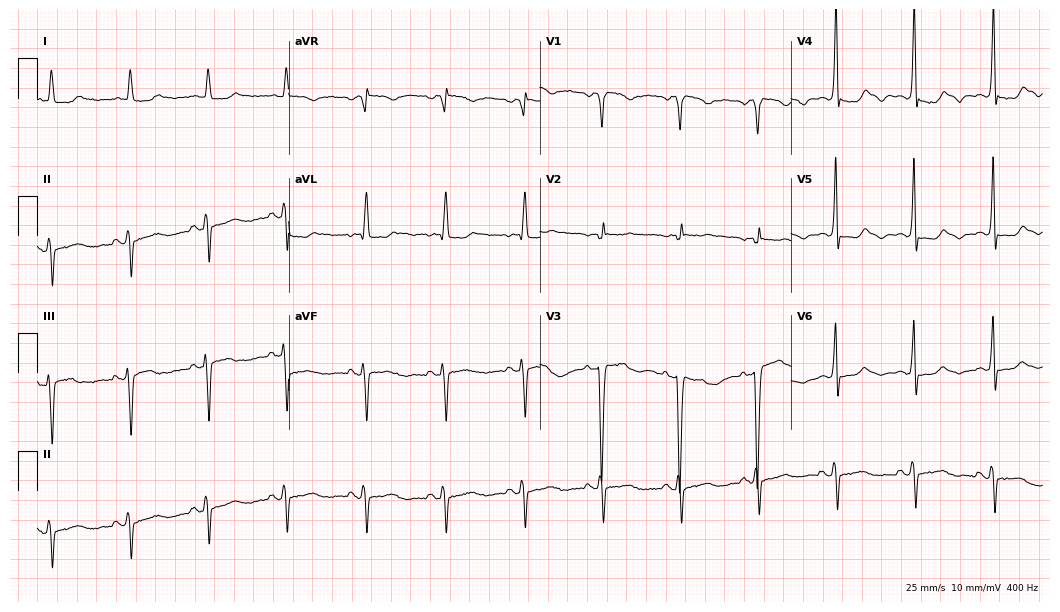
Standard 12-lead ECG recorded from a female patient, 76 years old (10.2-second recording at 400 Hz). None of these six findings is recorded: first-degree AV block, right bundle branch block (RBBB), left bundle branch block (LBBB), sinus bradycardia, atrial fibrillation (AF), sinus tachycardia.